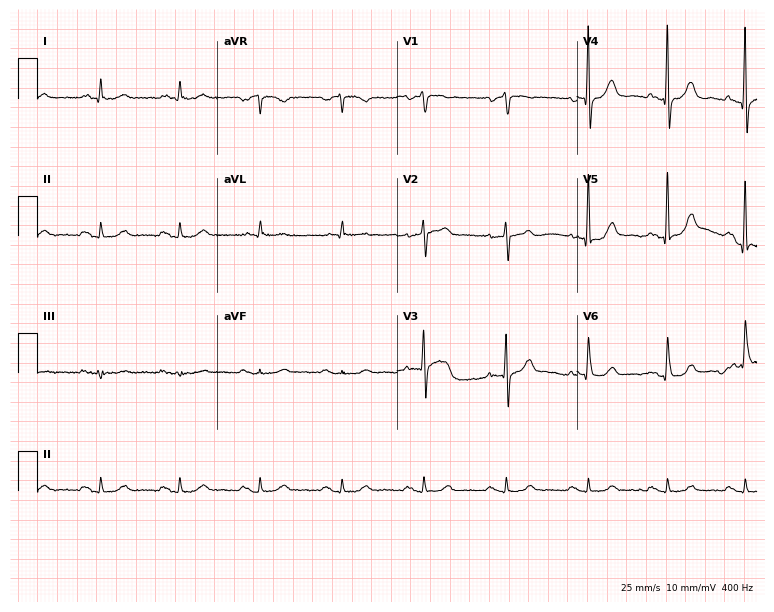
12-lead ECG from a male, 67 years old. Recorded interpretation: within normal limits.